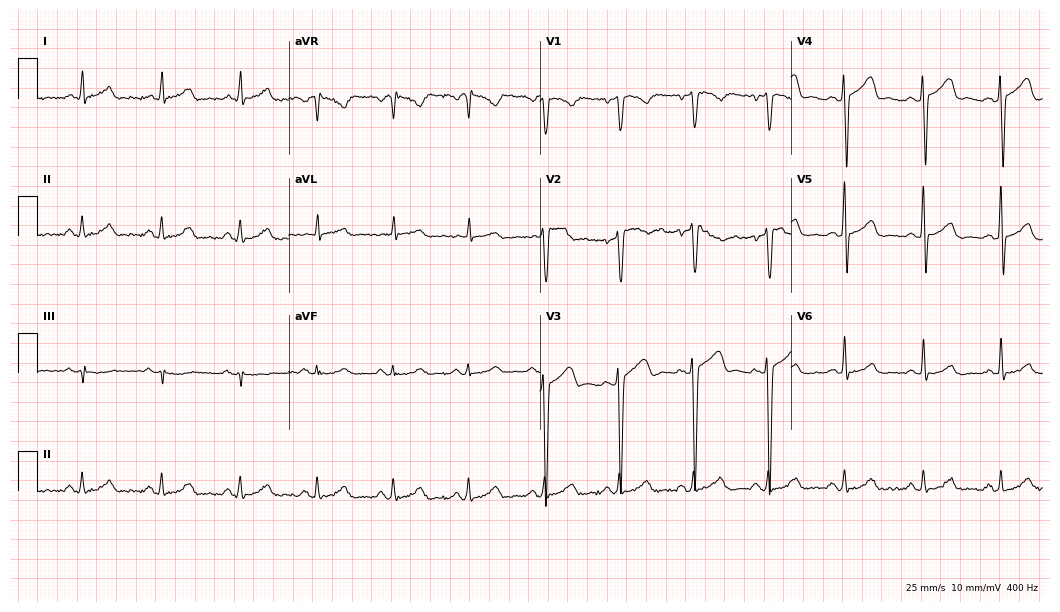
Standard 12-lead ECG recorded from a 32-year-old male patient. Read as a normal ECG.